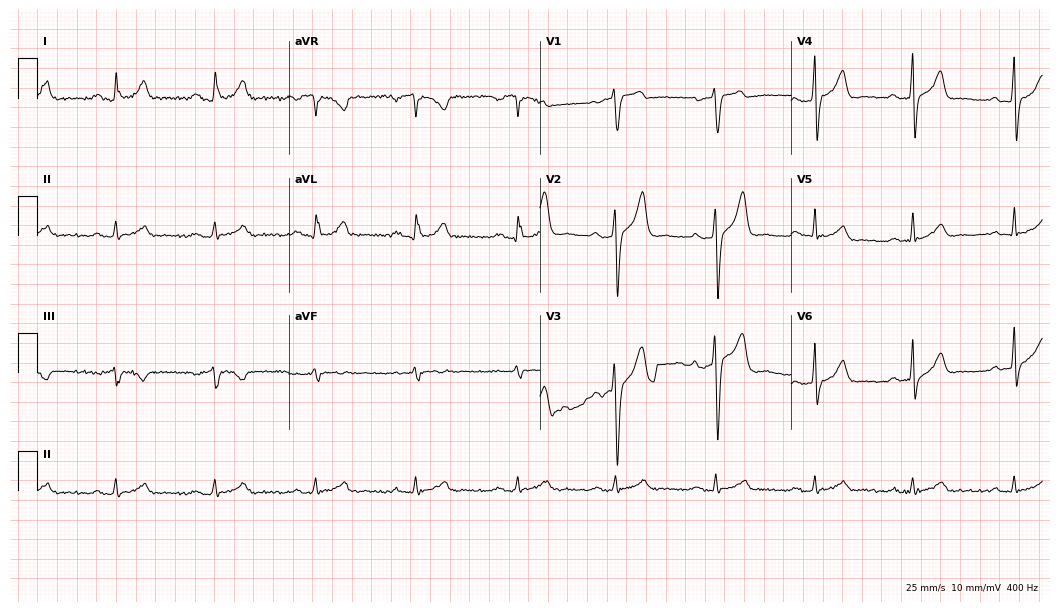
12-lead ECG from a 36-year-old man. Recorded interpretation: within normal limits.